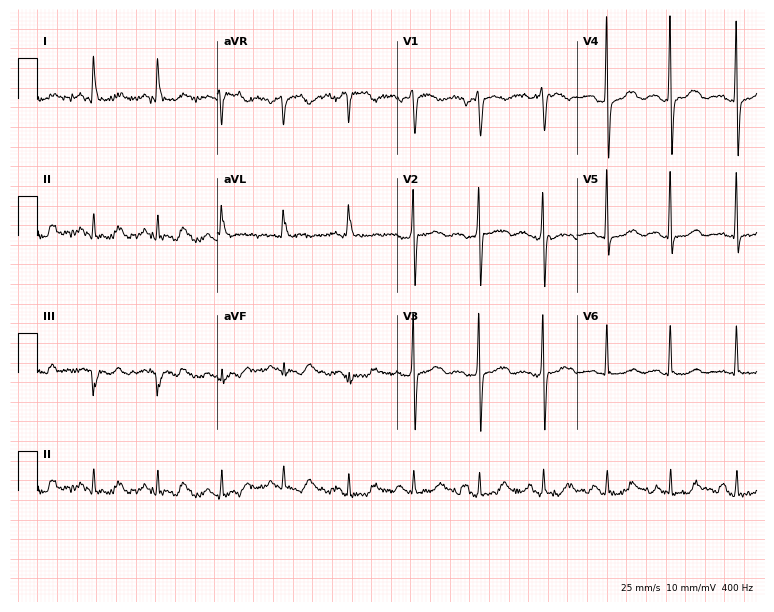
12-lead ECG from a 65-year-old woman (7.3-second recording at 400 Hz). No first-degree AV block, right bundle branch block, left bundle branch block, sinus bradycardia, atrial fibrillation or sinus tachycardia recorded for this tracing. Findings outside these six are not listed.